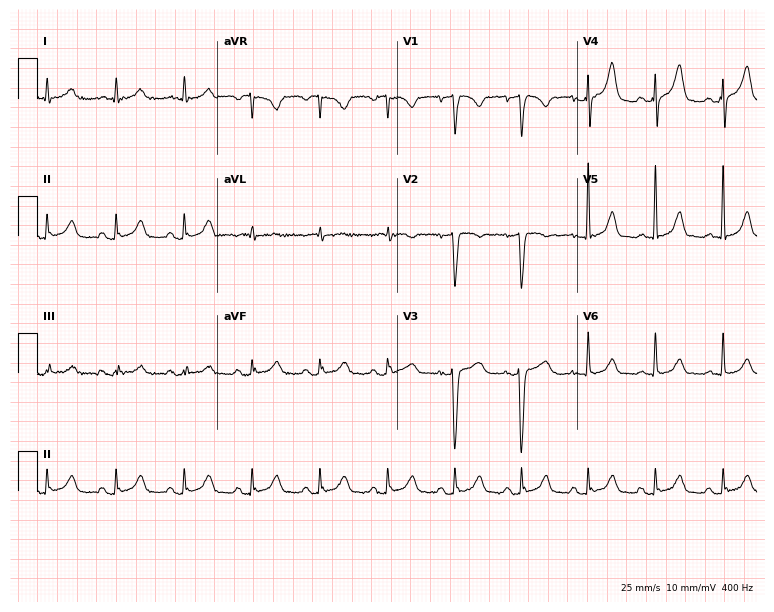
Standard 12-lead ECG recorded from a 78-year-old female patient. Read as a normal ECG.